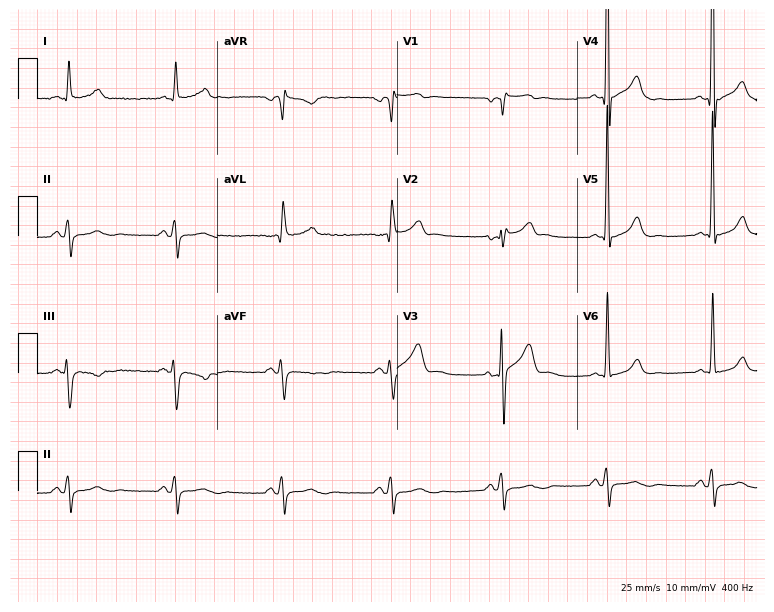
12-lead ECG from a male patient, 63 years old. Screened for six findings — first-degree AV block, right bundle branch block, left bundle branch block, sinus bradycardia, atrial fibrillation, sinus tachycardia — none is recorded.